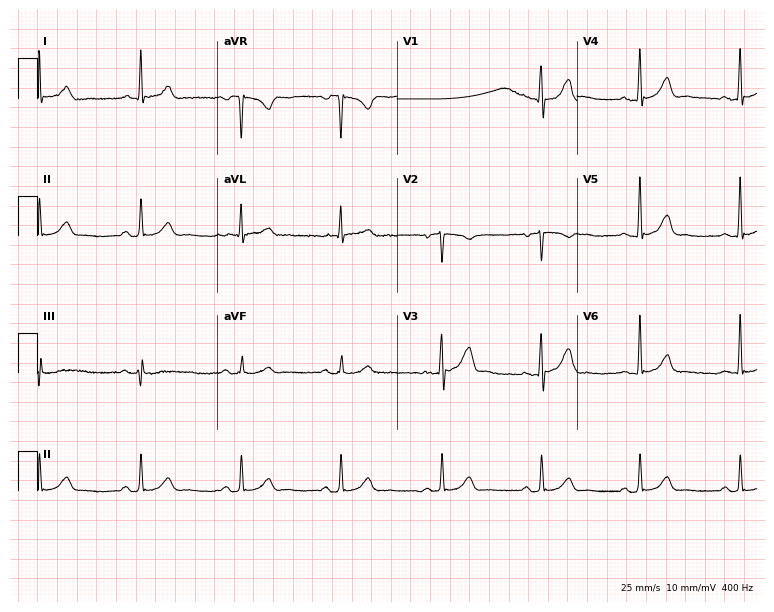
12-lead ECG from a 58-year-old male patient. Recorded interpretation: within normal limits.